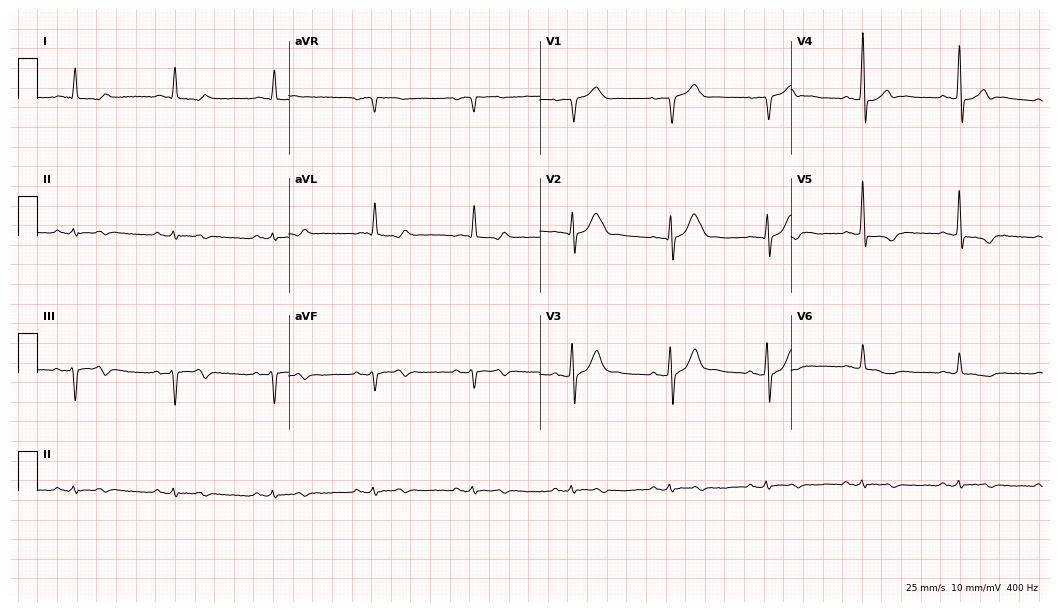
Electrocardiogram (10.2-second recording at 400 Hz), an 81-year-old male patient. Of the six screened findings (first-degree AV block, right bundle branch block, left bundle branch block, sinus bradycardia, atrial fibrillation, sinus tachycardia), none is recorded.